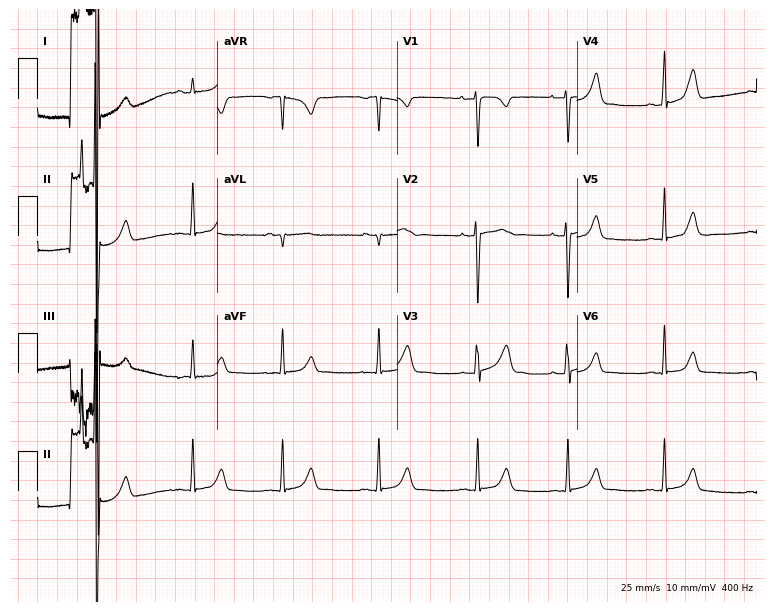
Resting 12-lead electrocardiogram (7.3-second recording at 400 Hz). Patient: a 29-year-old woman. Read as a normal ECG.